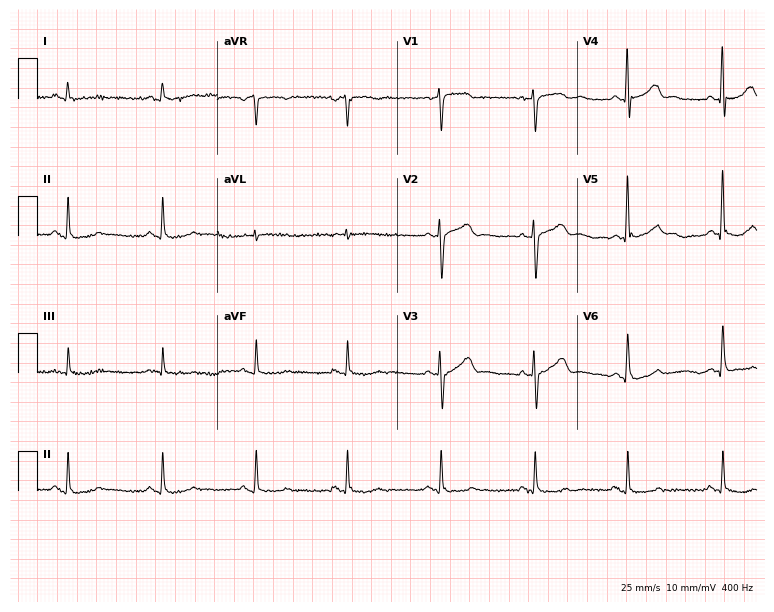
ECG (7.3-second recording at 400 Hz) — a 75-year-old male patient. Screened for six findings — first-degree AV block, right bundle branch block (RBBB), left bundle branch block (LBBB), sinus bradycardia, atrial fibrillation (AF), sinus tachycardia — none is recorded.